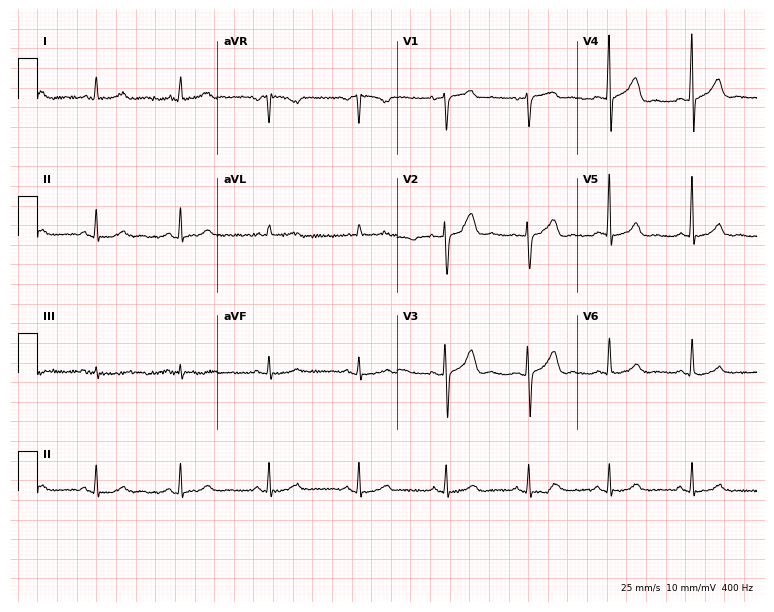
Resting 12-lead electrocardiogram (7.3-second recording at 400 Hz). Patient: a 36-year-old male. None of these six findings is recorded: first-degree AV block, right bundle branch block, left bundle branch block, sinus bradycardia, atrial fibrillation, sinus tachycardia.